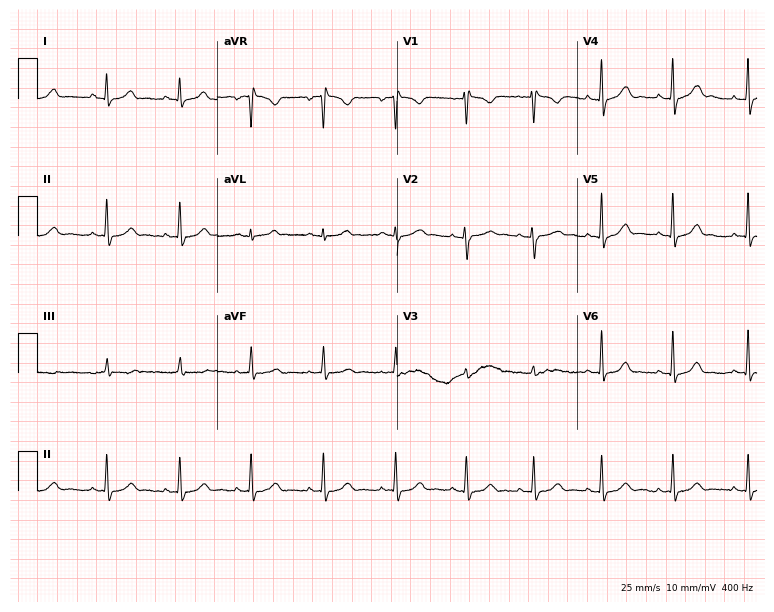
ECG — a 26-year-old female. Screened for six findings — first-degree AV block, right bundle branch block (RBBB), left bundle branch block (LBBB), sinus bradycardia, atrial fibrillation (AF), sinus tachycardia — none is recorded.